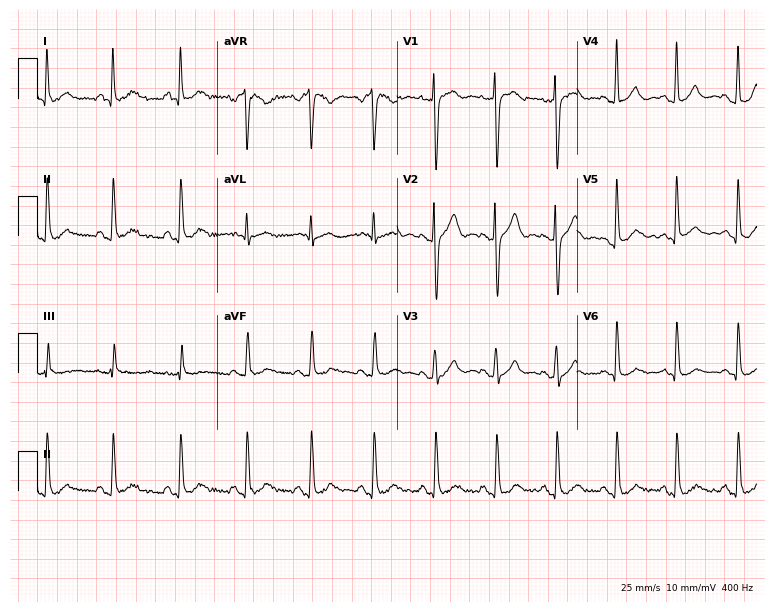
Resting 12-lead electrocardiogram. Patient: a 35-year-old male. None of these six findings is recorded: first-degree AV block, right bundle branch block, left bundle branch block, sinus bradycardia, atrial fibrillation, sinus tachycardia.